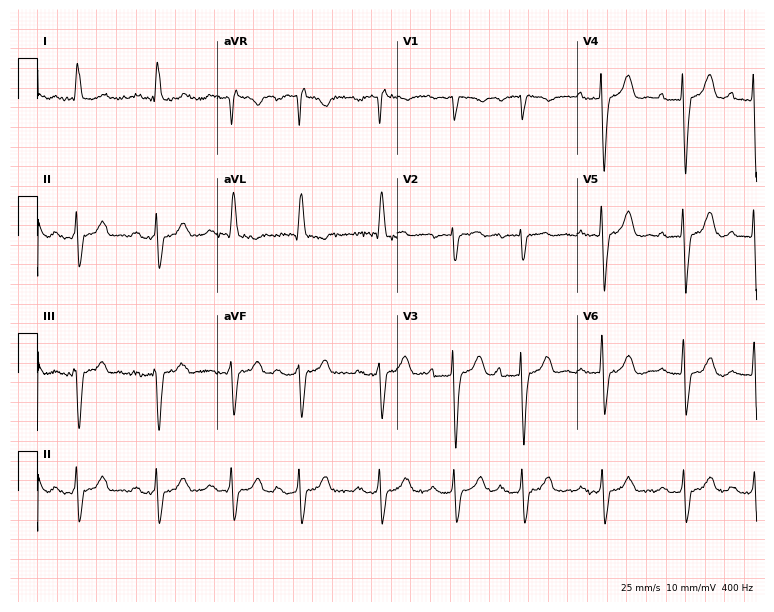
Resting 12-lead electrocardiogram (7.3-second recording at 400 Hz). Patient: an 80-year-old woman. The tracing shows first-degree AV block.